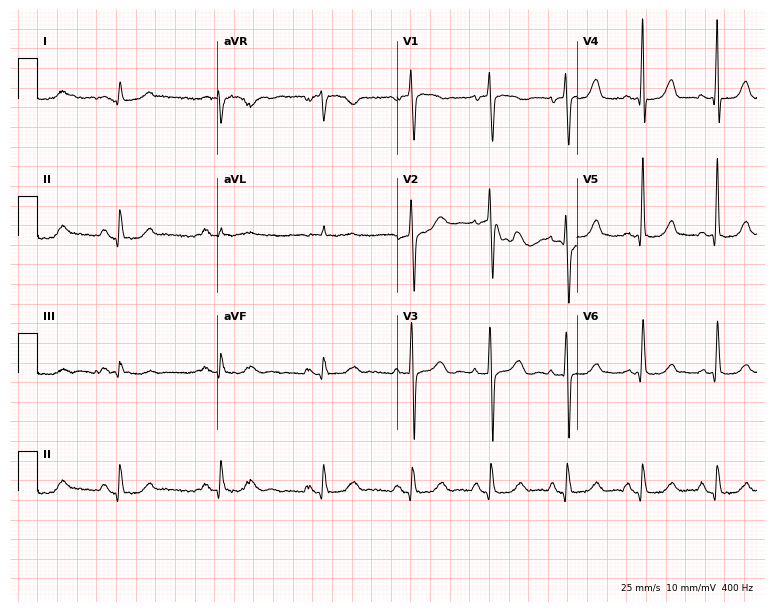
12-lead ECG (7.3-second recording at 400 Hz) from a 72-year-old male patient. Labelled as a normal ECG.